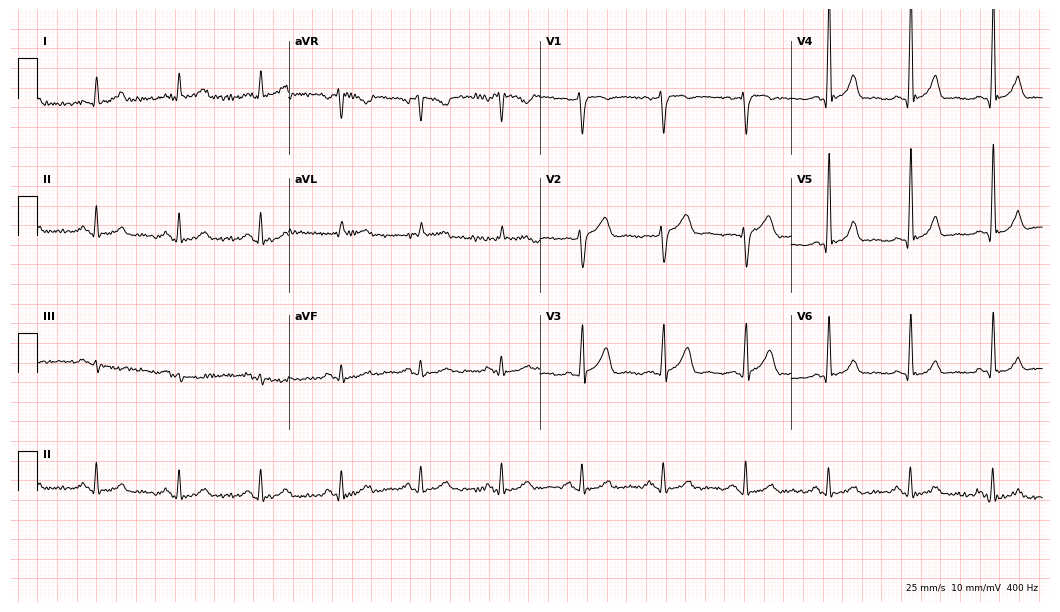
ECG (10.2-second recording at 400 Hz) — a 54-year-old male. Screened for six findings — first-degree AV block, right bundle branch block, left bundle branch block, sinus bradycardia, atrial fibrillation, sinus tachycardia — none is recorded.